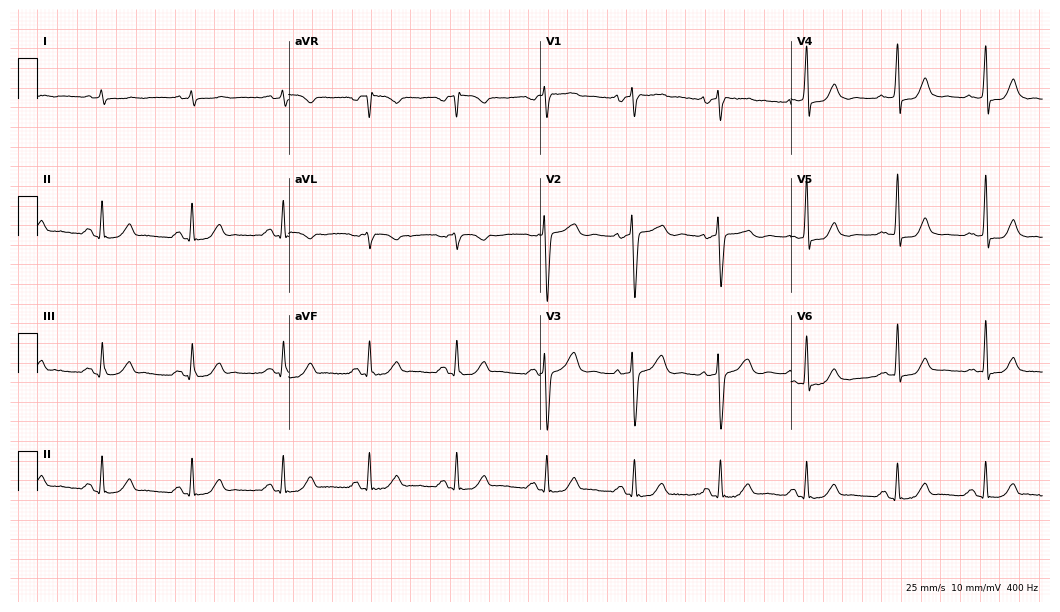
12-lead ECG from a woman, 51 years old. Recorded interpretation: within normal limits.